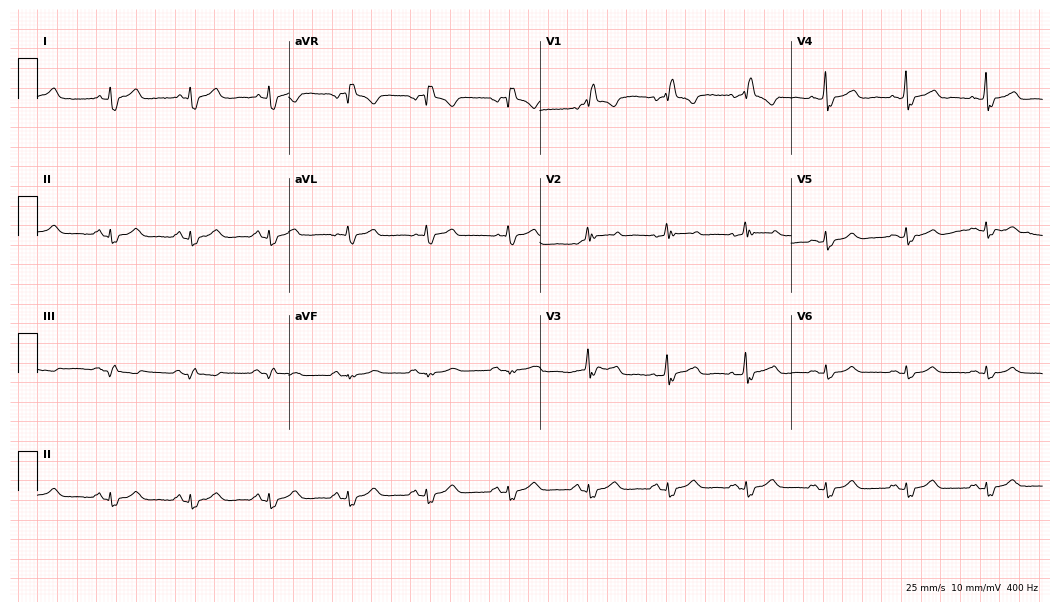
12-lead ECG from a female patient, 58 years old. Findings include right bundle branch block.